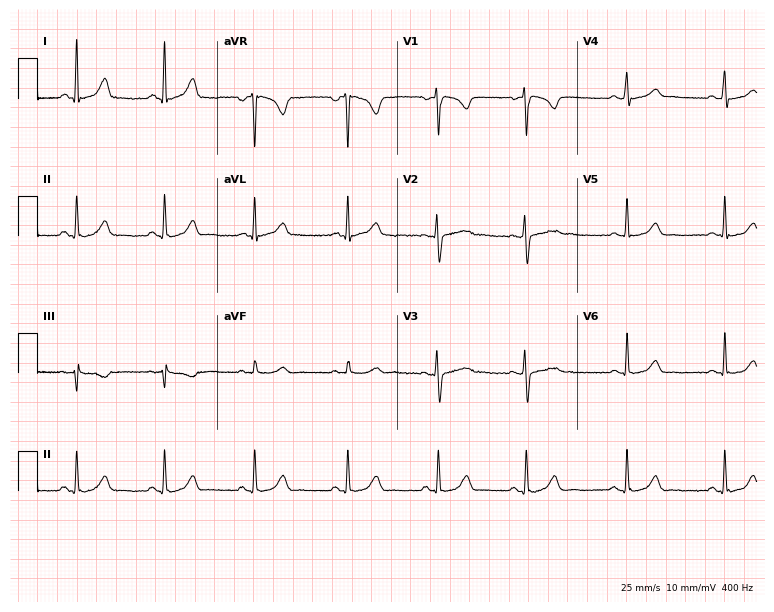
ECG (7.3-second recording at 400 Hz) — a woman, 19 years old. Labelled as a normal ECG.